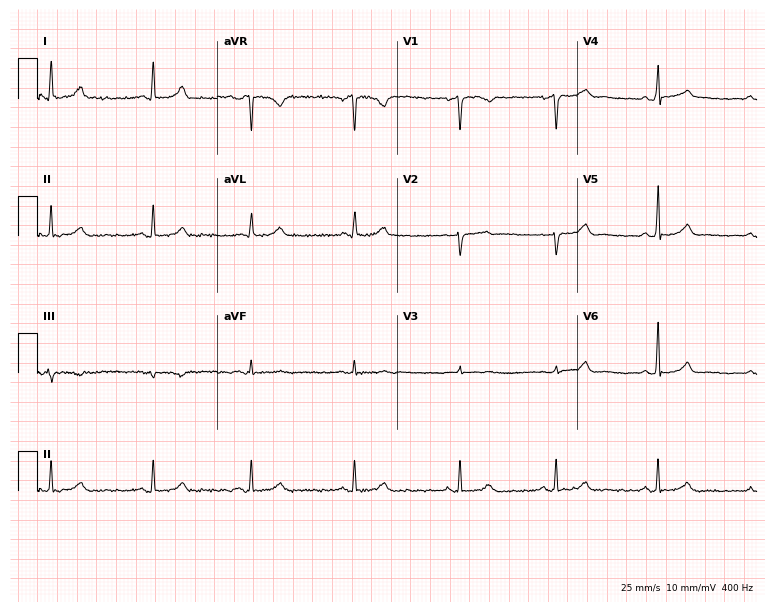
12-lead ECG from a female, 58 years old (7.3-second recording at 400 Hz). Recorded interpretation: within normal limits.